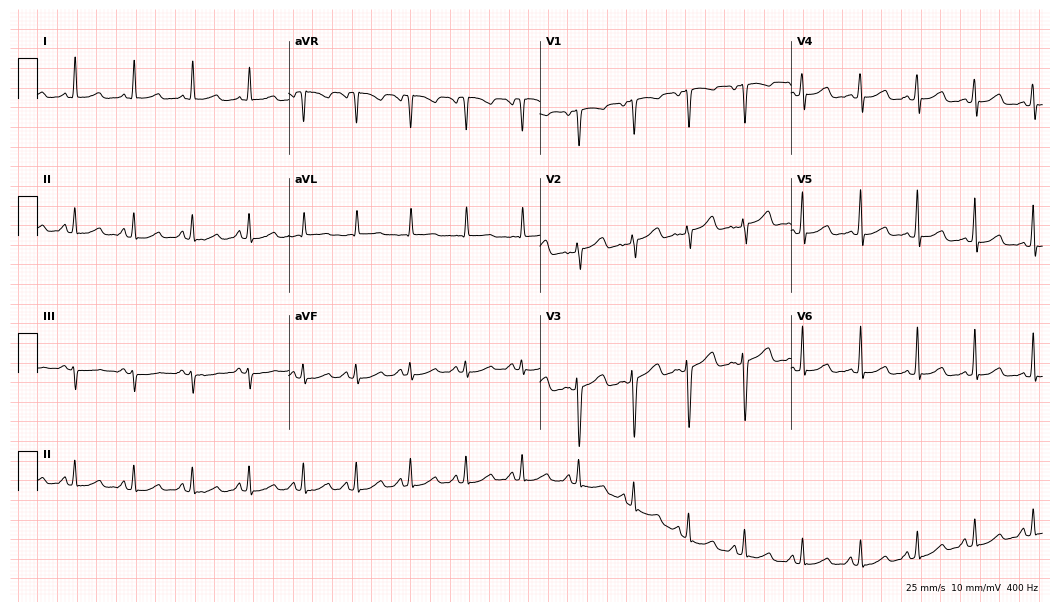
12-lead ECG from a female patient, 33 years old (10.2-second recording at 400 Hz). Shows sinus tachycardia (a sinus rate of 100 beats per minute or more).